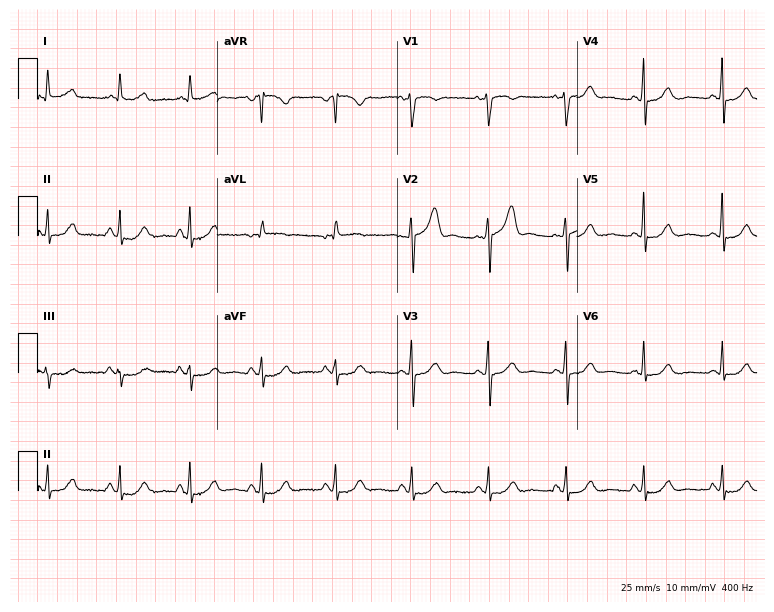
Electrocardiogram (7.3-second recording at 400 Hz), a 69-year-old woman. Overall reading on record: normal ECG.